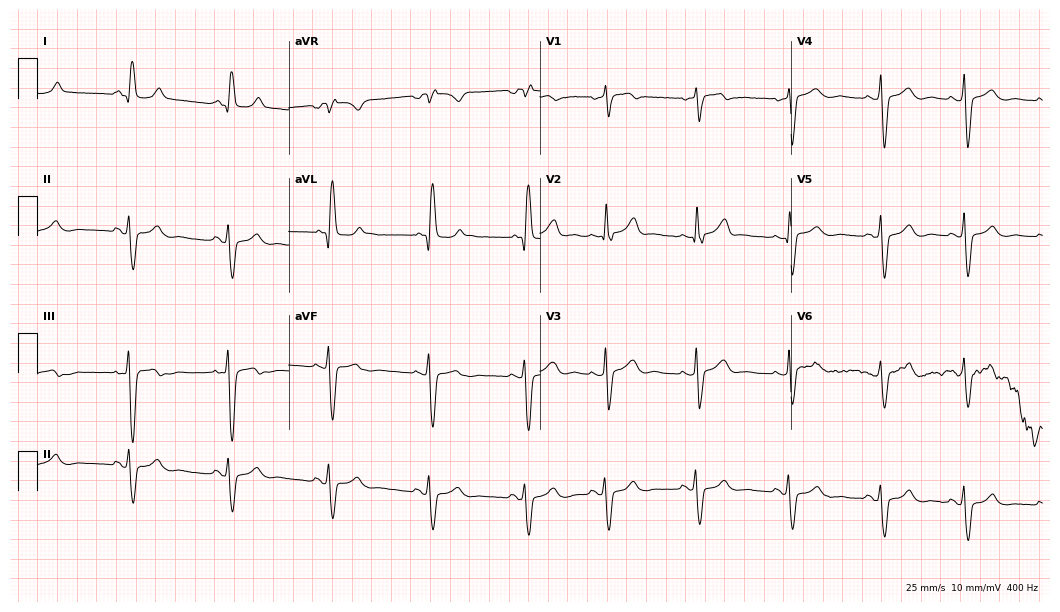
Standard 12-lead ECG recorded from a female patient, 66 years old. None of these six findings is recorded: first-degree AV block, right bundle branch block, left bundle branch block, sinus bradycardia, atrial fibrillation, sinus tachycardia.